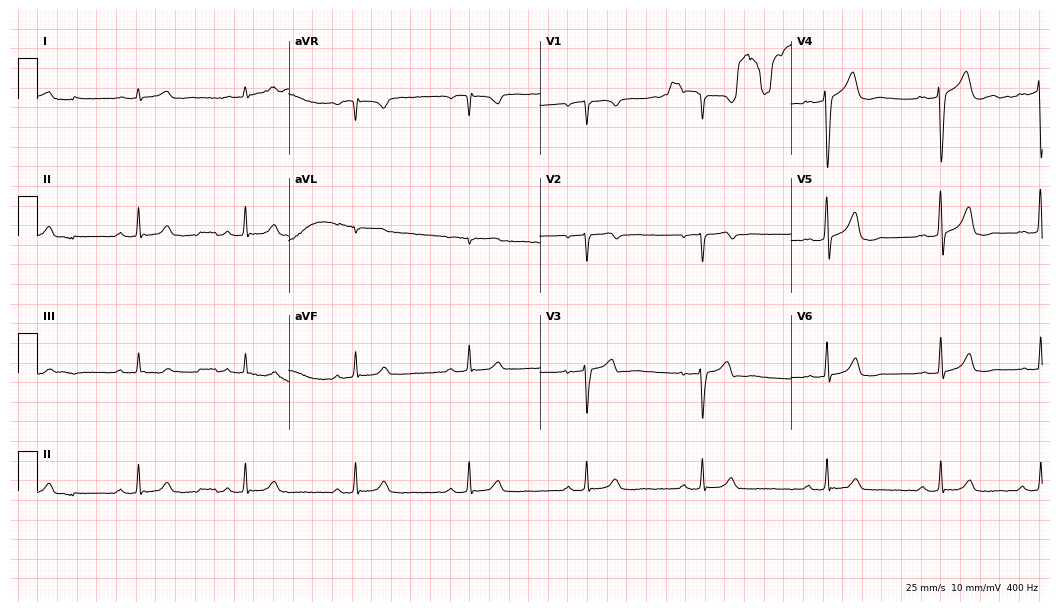
Standard 12-lead ECG recorded from a man, 40 years old. Read as a normal ECG.